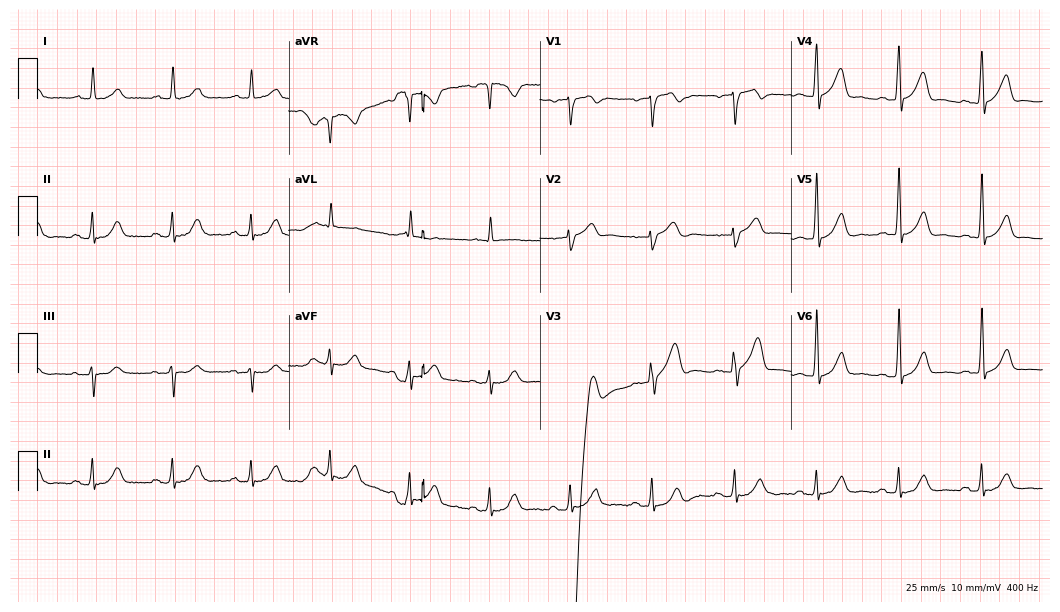
ECG — a man, 58 years old. Screened for six findings — first-degree AV block, right bundle branch block, left bundle branch block, sinus bradycardia, atrial fibrillation, sinus tachycardia — none is recorded.